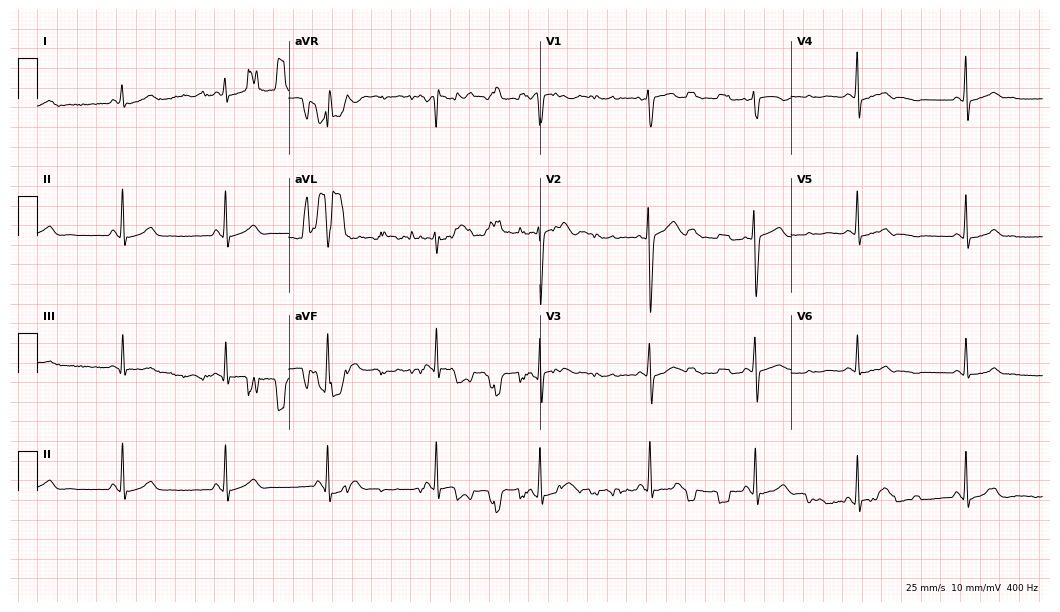
Resting 12-lead electrocardiogram (10.2-second recording at 400 Hz). Patient: a female, 25 years old. None of these six findings is recorded: first-degree AV block, right bundle branch block, left bundle branch block, sinus bradycardia, atrial fibrillation, sinus tachycardia.